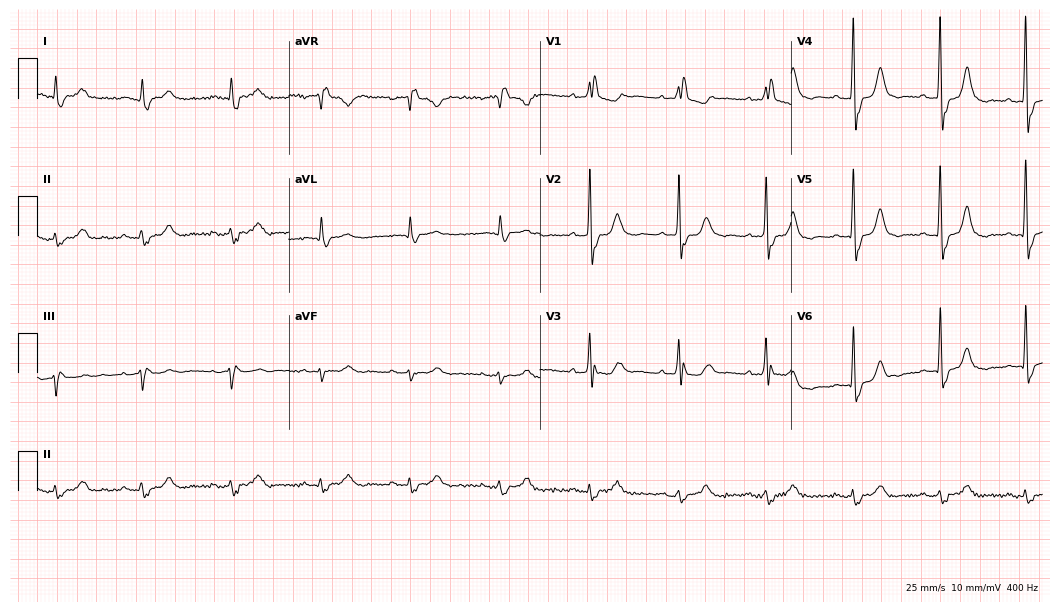
12-lead ECG from a man, 78 years old. Shows right bundle branch block.